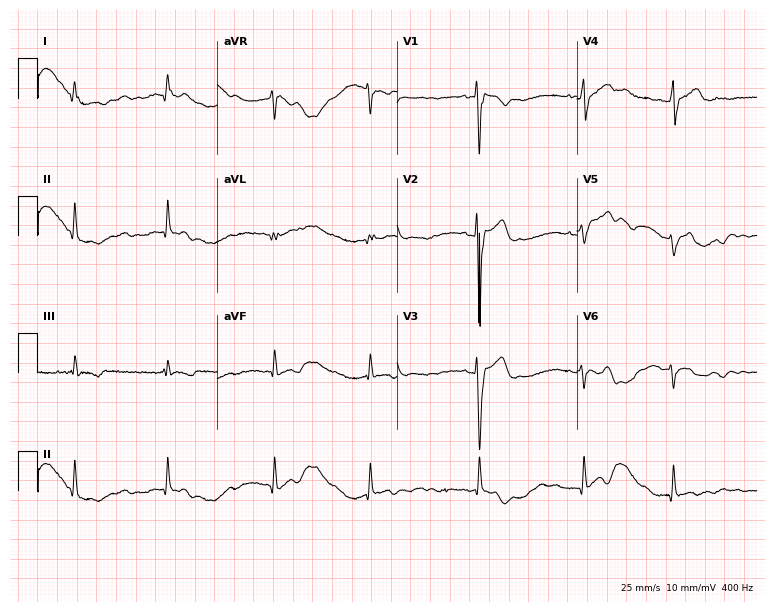
12-lead ECG (7.3-second recording at 400 Hz) from a 19-year-old male patient. Screened for six findings — first-degree AV block, right bundle branch block, left bundle branch block, sinus bradycardia, atrial fibrillation, sinus tachycardia — none is recorded. Findings outside these six are not listed.